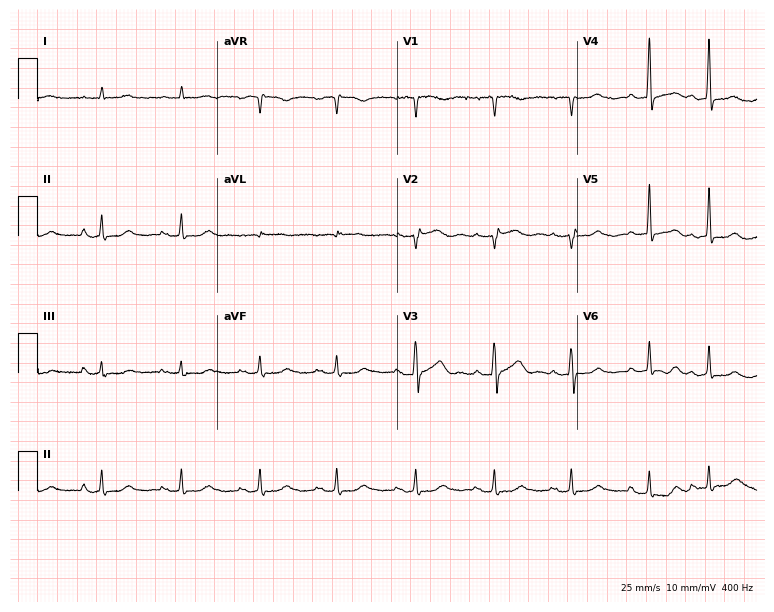
Electrocardiogram, a 74-year-old female patient. Of the six screened findings (first-degree AV block, right bundle branch block (RBBB), left bundle branch block (LBBB), sinus bradycardia, atrial fibrillation (AF), sinus tachycardia), none is recorded. Other findings, if any, are not listed.